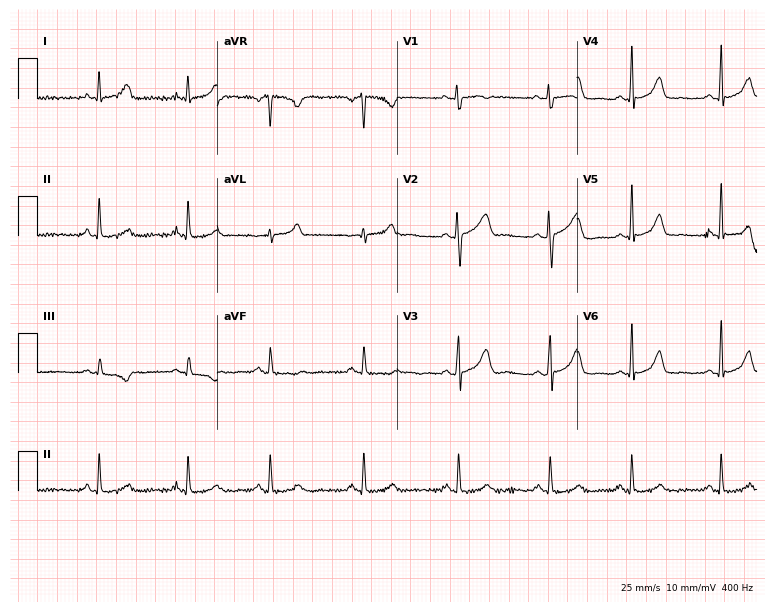
Electrocardiogram (7.3-second recording at 400 Hz), a female patient, 28 years old. Of the six screened findings (first-degree AV block, right bundle branch block, left bundle branch block, sinus bradycardia, atrial fibrillation, sinus tachycardia), none is recorded.